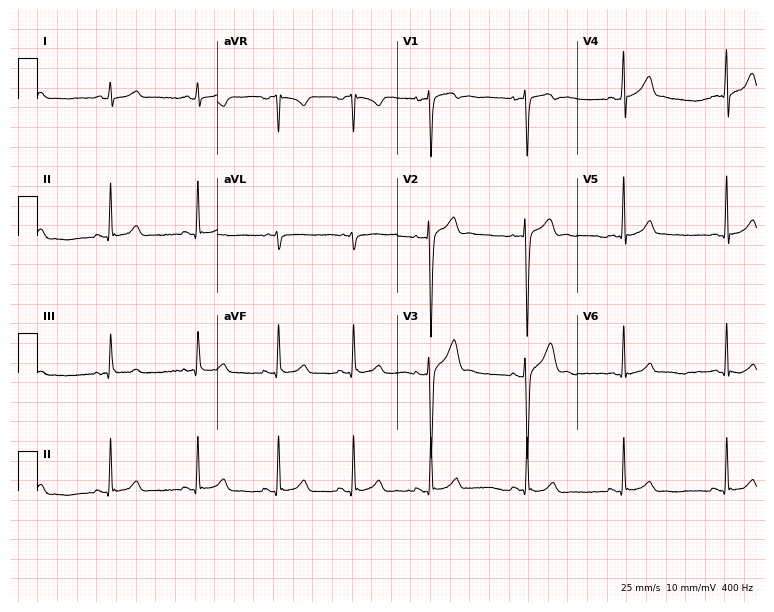
Resting 12-lead electrocardiogram. Patient: a male, 19 years old. Read as a normal ECG.